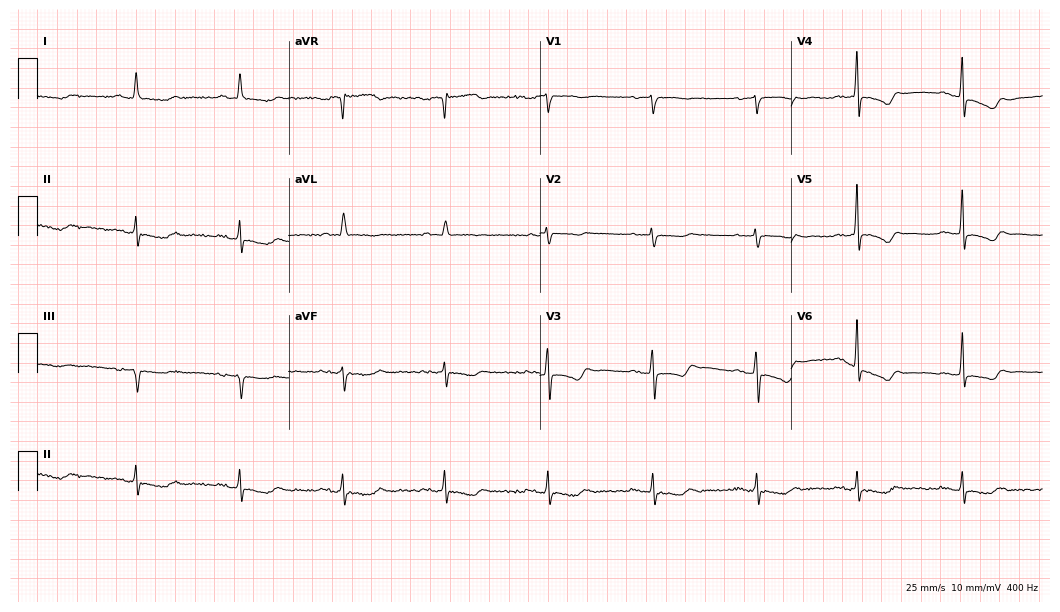
Standard 12-lead ECG recorded from a female, 75 years old. The tracing shows first-degree AV block.